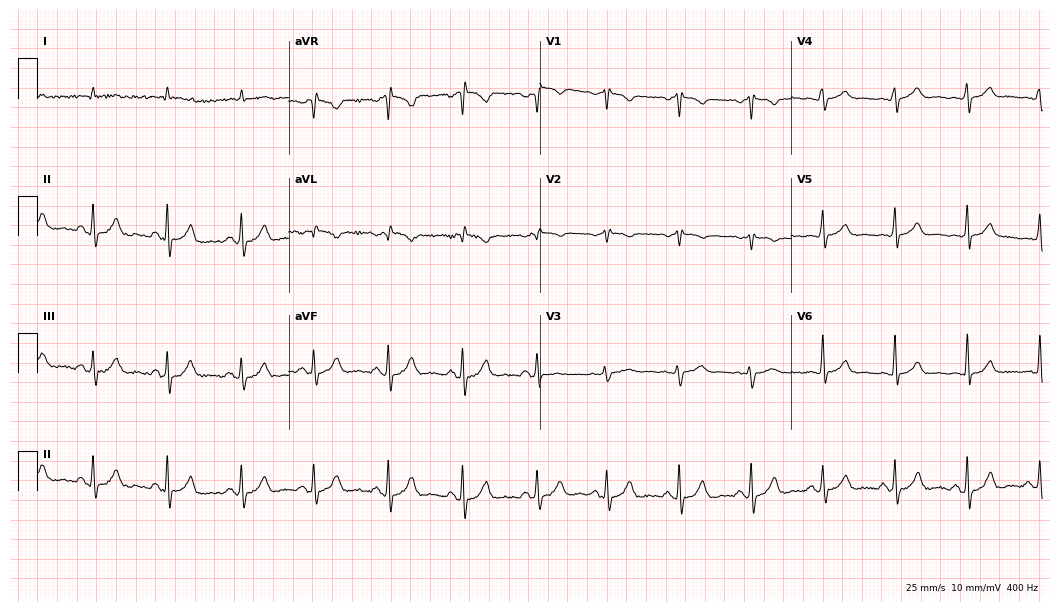
12-lead ECG from a man, 71 years old. No first-degree AV block, right bundle branch block (RBBB), left bundle branch block (LBBB), sinus bradycardia, atrial fibrillation (AF) or sinus tachycardia recorded for this tracing. Only these six findings were labelled.